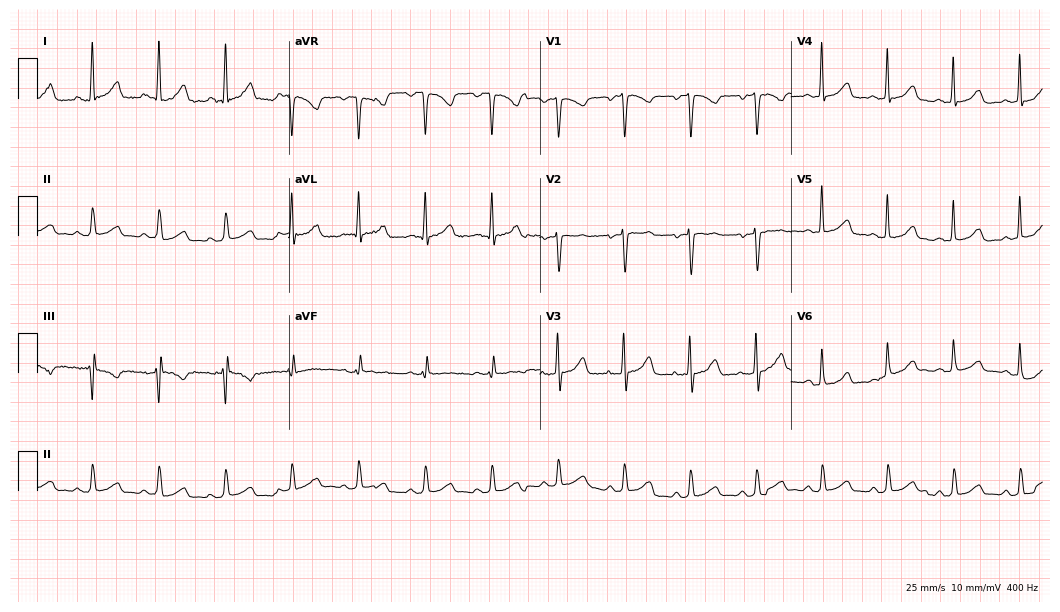
Standard 12-lead ECG recorded from a female, 47 years old (10.2-second recording at 400 Hz). Read as a normal ECG.